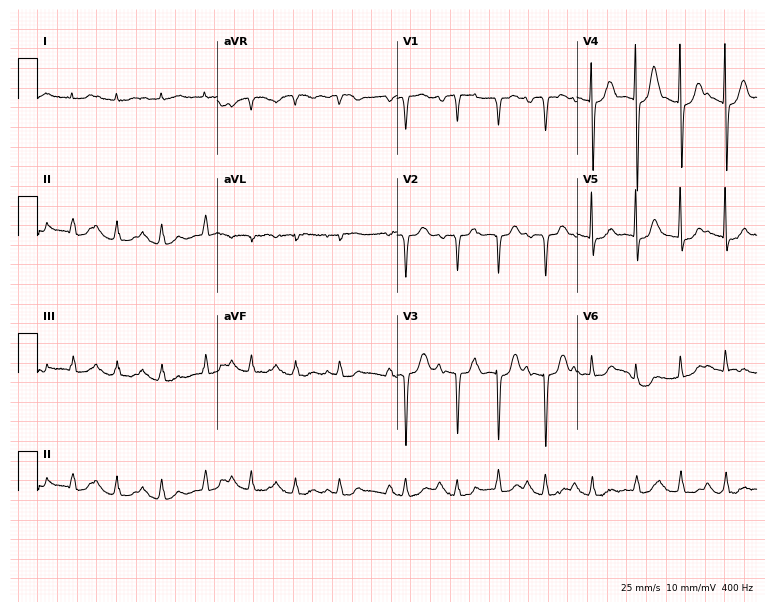
ECG (7.3-second recording at 400 Hz) — a woman, 83 years old. Findings include atrial fibrillation (AF), sinus tachycardia (a sinus rate of 100 beats per minute or more).